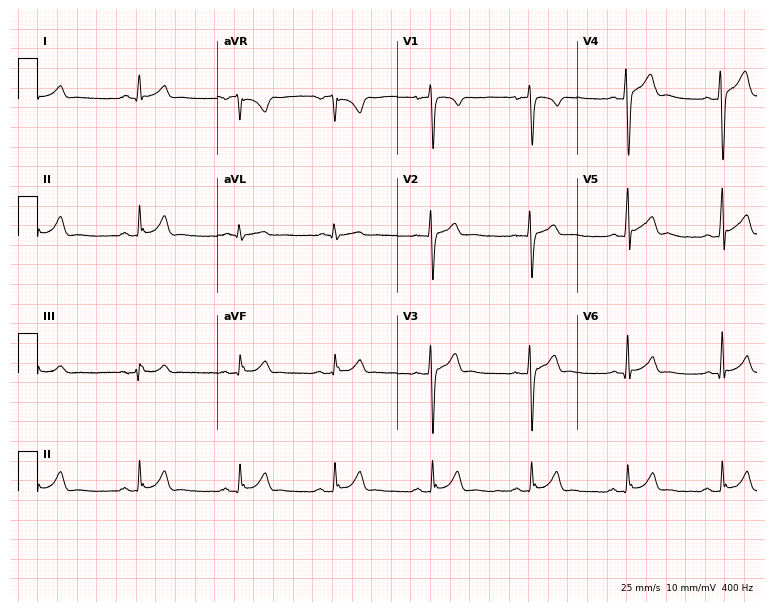
Electrocardiogram (7.3-second recording at 400 Hz), a 21-year-old man. Overall reading on record: normal ECG.